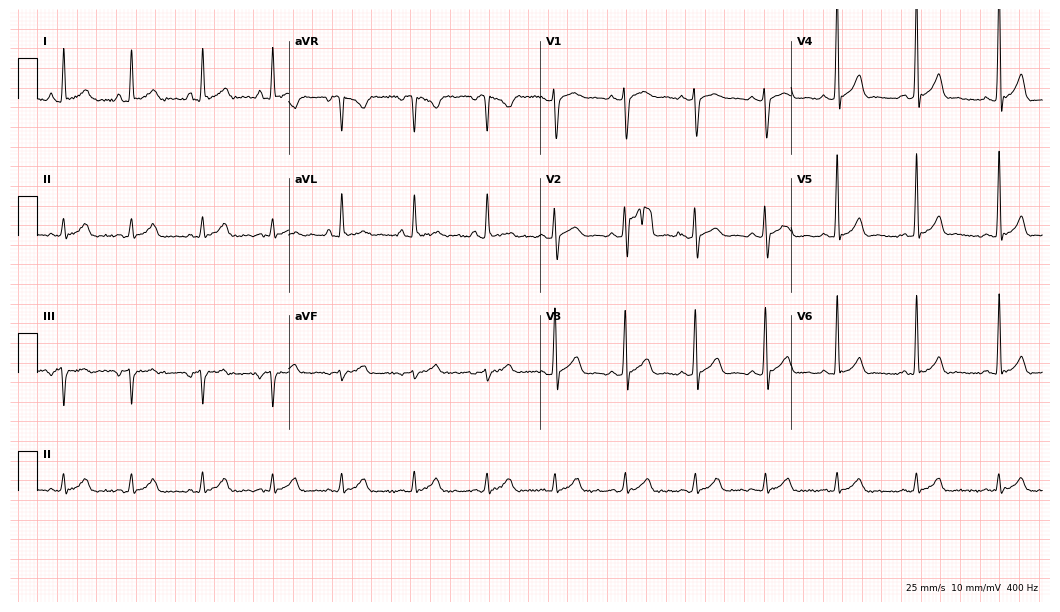
ECG (10.2-second recording at 400 Hz) — a 23-year-old male patient. Labelled as a normal ECG.